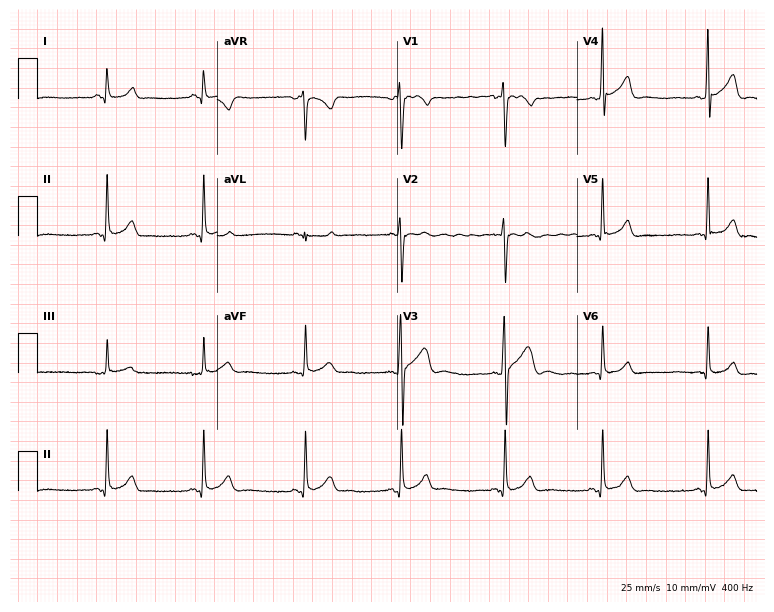
Resting 12-lead electrocardiogram (7.3-second recording at 400 Hz). Patient: a male, 27 years old. Read as a normal ECG.